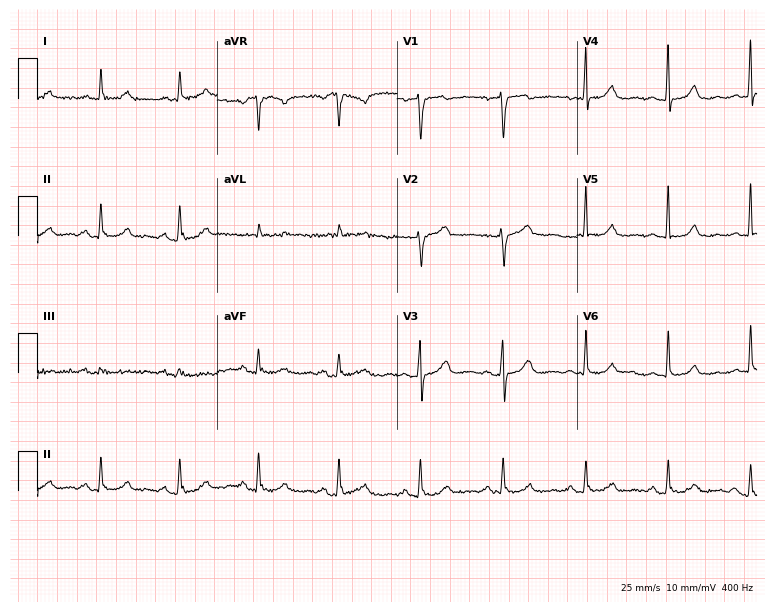
12-lead ECG (7.3-second recording at 400 Hz) from a female, 62 years old. Screened for six findings — first-degree AV block, right bundle branch block (RBBB), left bundle branch block (LBBB), sinus bradycardia, atrial fibrillation (AF), sinus tachycardia — none is recorded. Only these six findings were labelled.